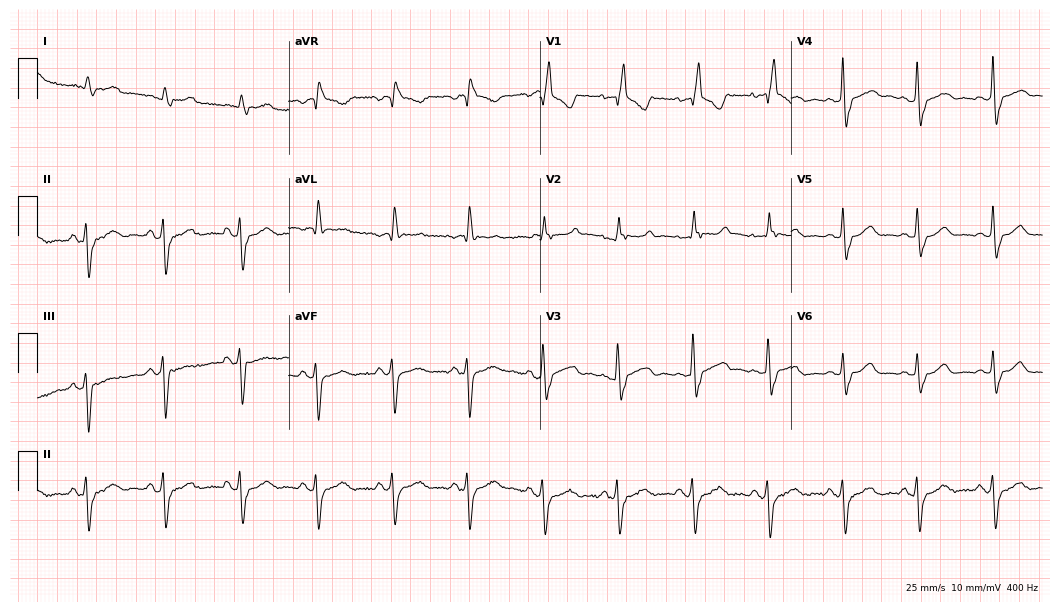
12-lead ECG (10.2-second recording at 400 Hz) from an 86-year-old male. Findings include right bundle branch block.